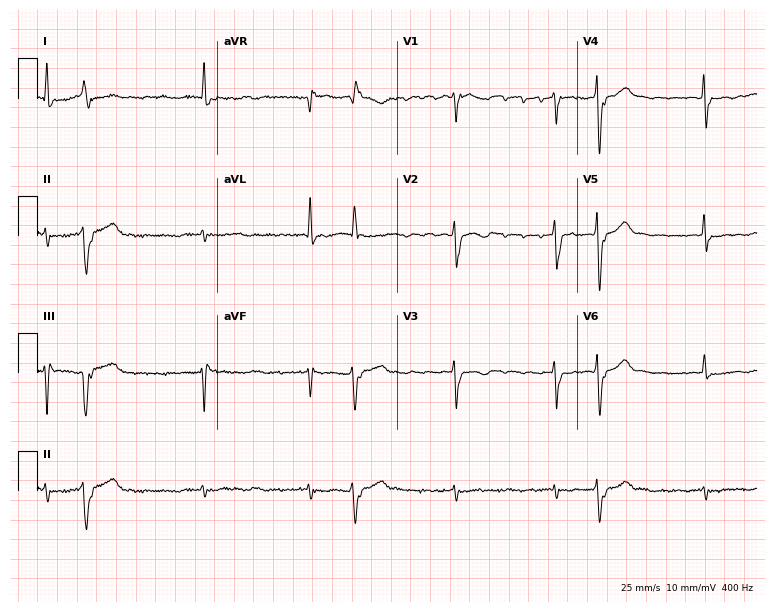
Electrocardiogram (7.3-second recording at 400 Hz), a female, 78 years old. Interpretation includes atrial fibrillation.